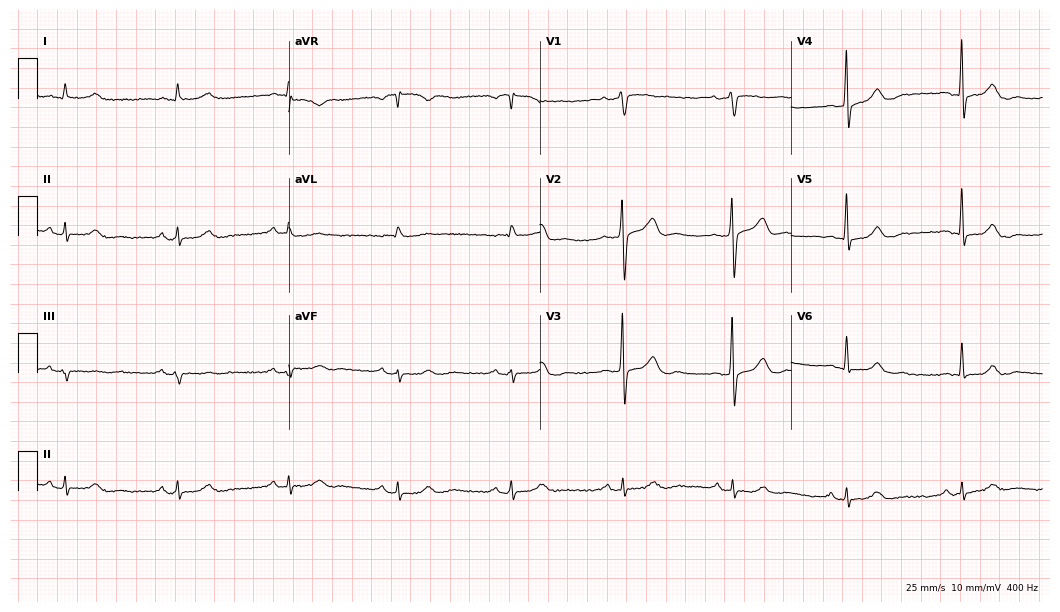
12-lead ECG from an 80-year-old male (10.2-second recording at 400 Hz). Recorded interpretation: within normal limits.